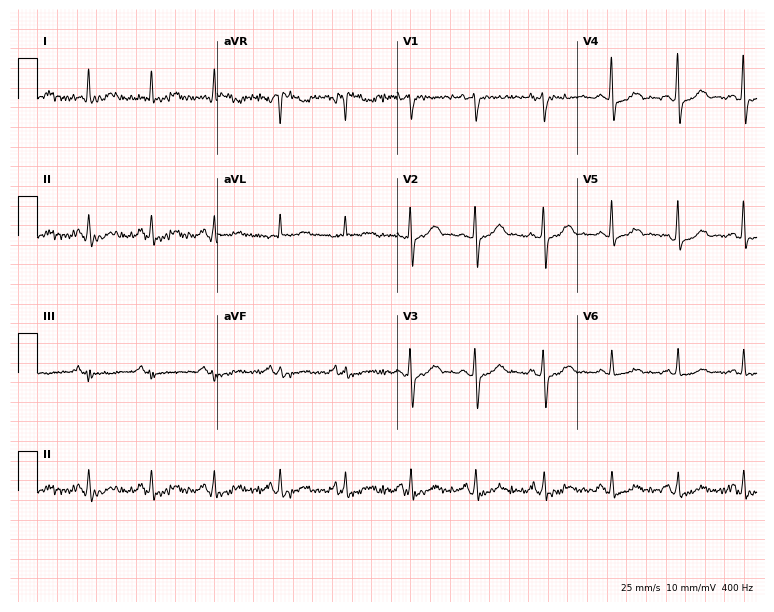
Standard 12-lead ECG recorded from a 59-year-old woman. Read as a normal ECG.